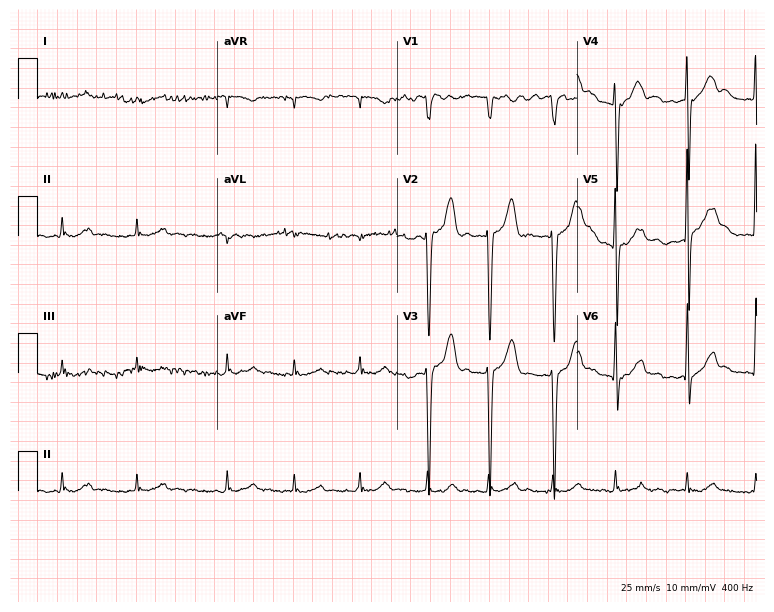
12-lead ECG from a woman, 85 years old. Screened for six findings — first-degree AV block, right bundle branch block, left bundle branch block, sinus bradycardia, atrial fibrillation, sinus tachycardia — none is recorded.